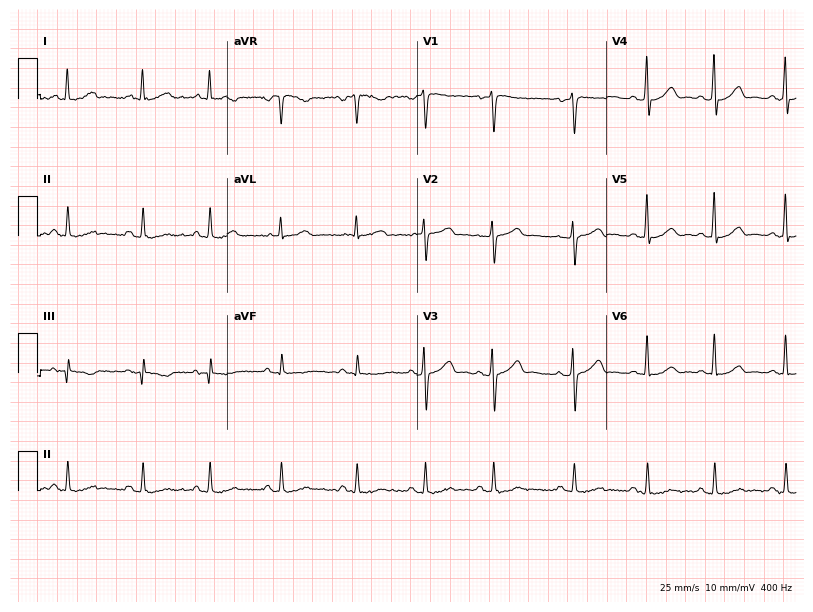
12-lead ECG from a woman, 36 years old. Recorded interpretation: within normal limits.